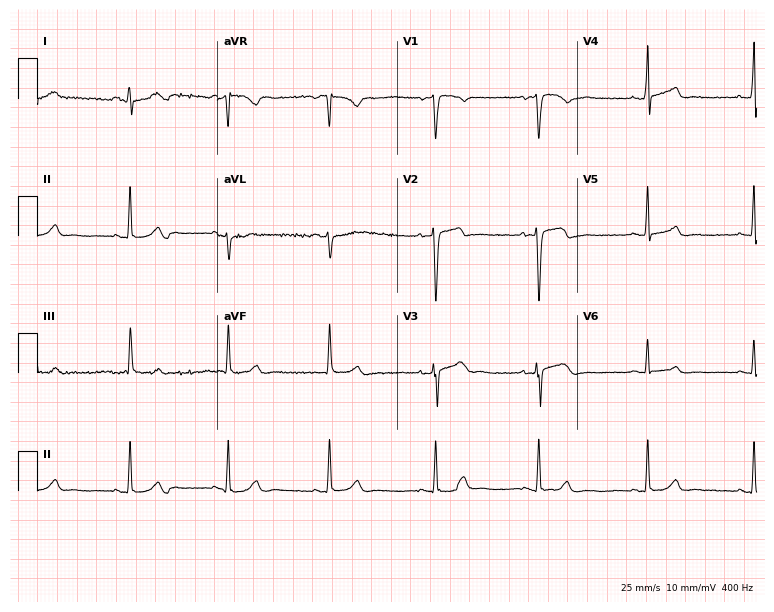
Standard 12-lead ECG recorded from a 43-year-old male (7.3-second recording at 400 Hz). Read as a normal ECG.